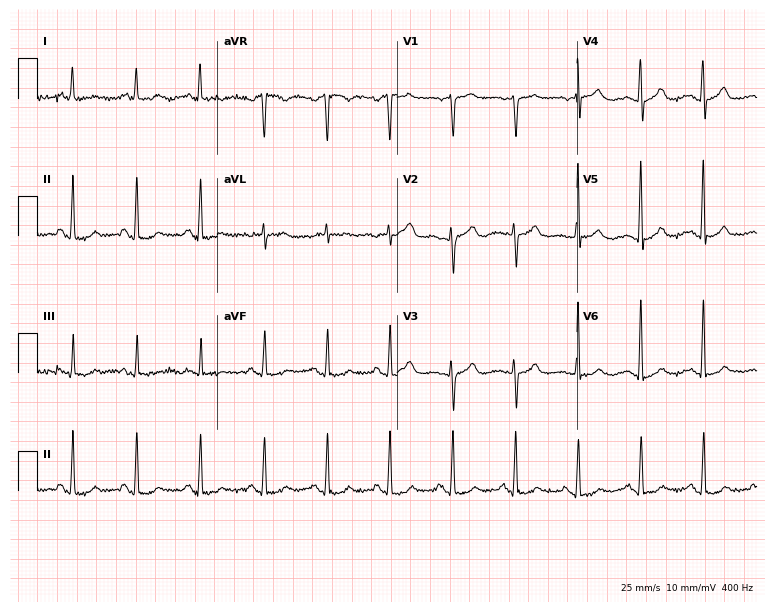
Resting 12-lead electrocardiogram. Patient: a 75-year-old female. None of these six findings is recorded: first-degree AV block, right bundle branch block, left bundle branch block, sinus bradycardia, atrial fibrillation, sinus tachycardia.